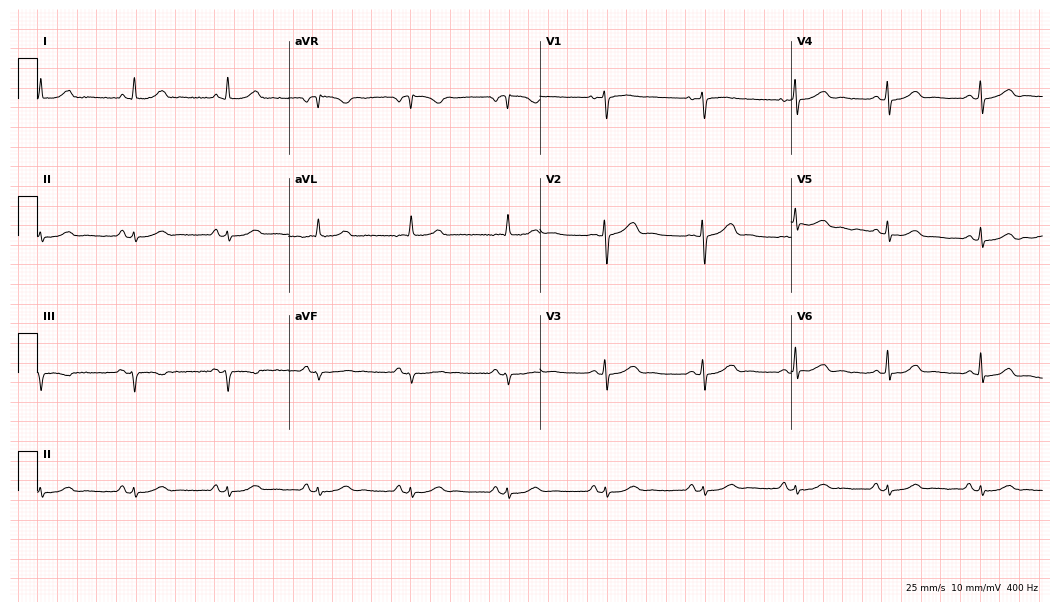
Standard 12-lead ECG recorded from a 51-year-old female (10.2-second recording at 400 Hz). Read as a normal ECG.